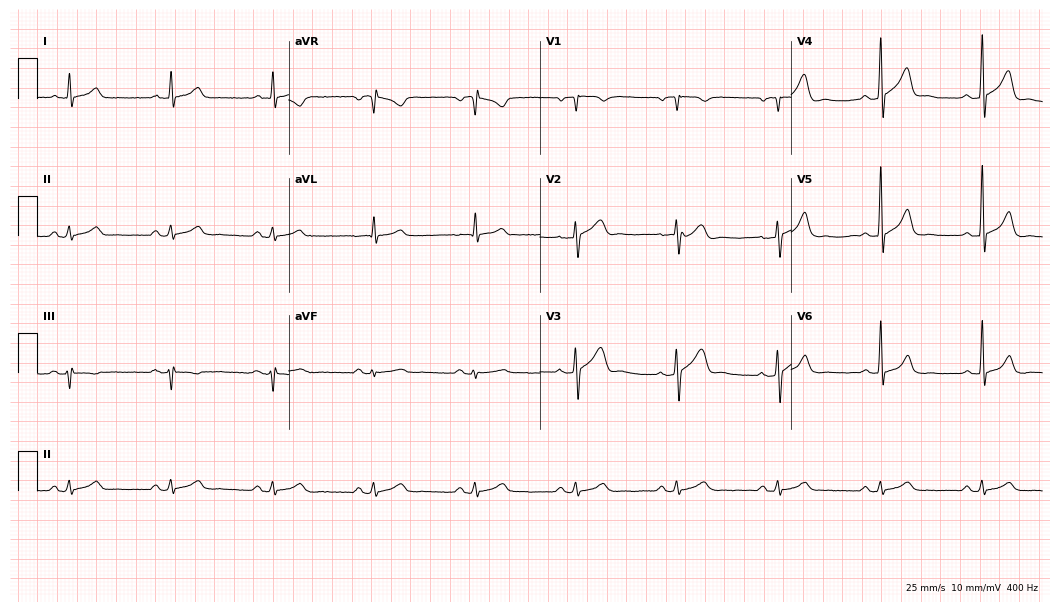
12-lead ECG from a 70-year-old male. Recorded interpretation: within normal limits.